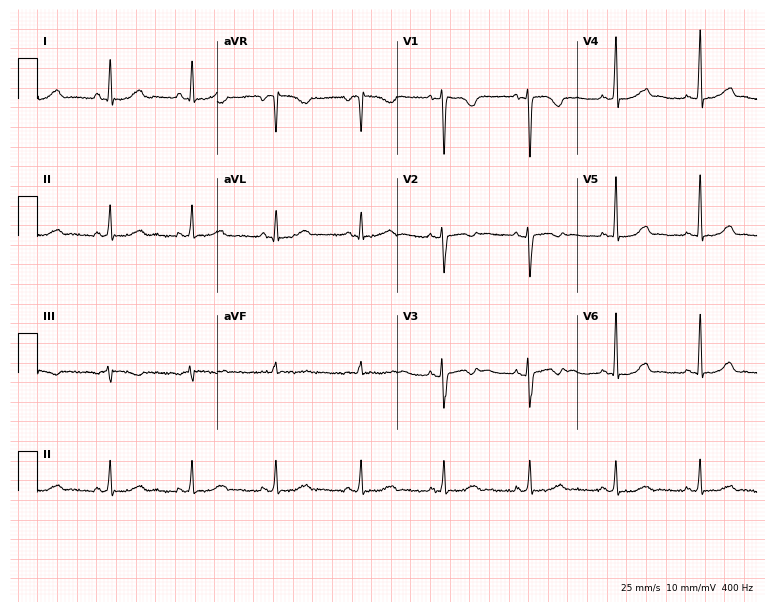
12-lead ECG from a 24-year-old female. No first-degree AV block, right bundle branch block, left bundle branch block, sinus bradycardia, atrial fibrillation or sinus tachycardia recorded for this tracing.